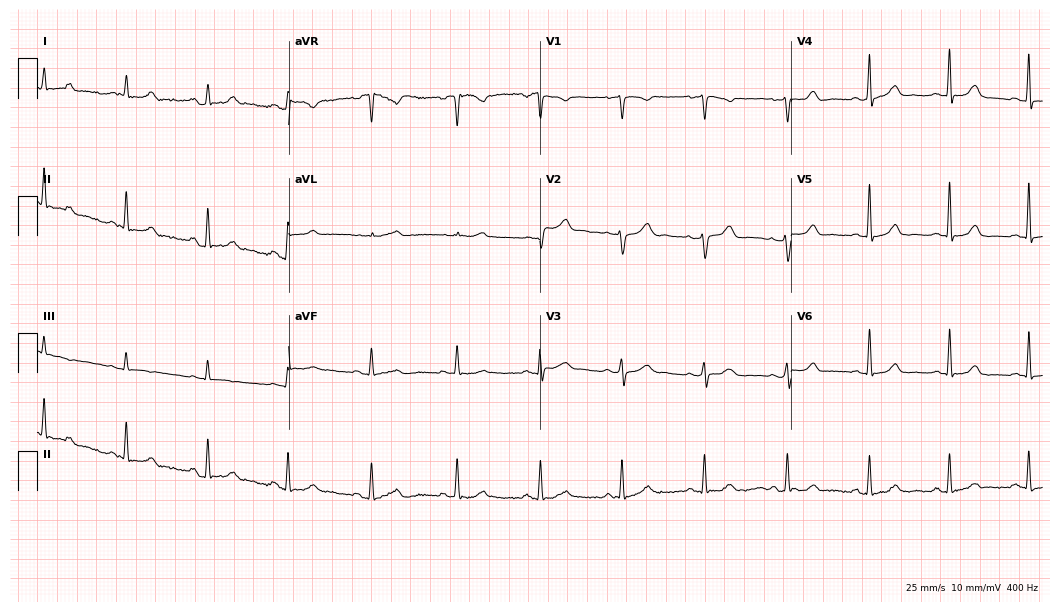
12-lead ECG from a 39-year-old woman (10.2-second recording at 400 Hz). Recorded interpretation: within normal limits.